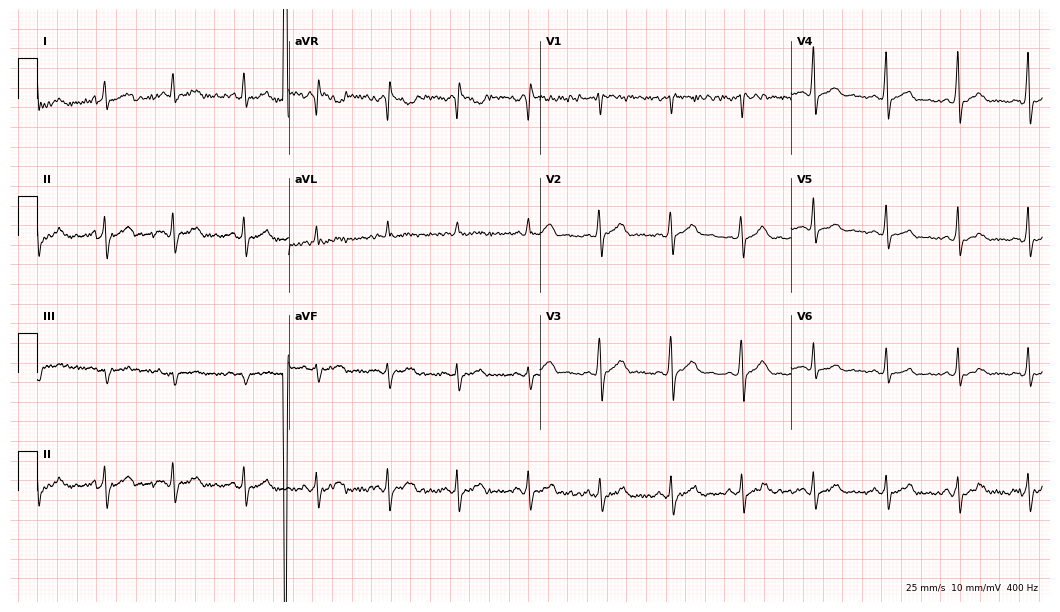
ECG — a male, 27 years old. Screened for six findings — first-degree AV block, right bundle branch block (RBBB), left bundle branch block (LBBB), sinus bradycardia, atrial fibrillation (AF), sinus tachycardia — none is recorded. Other findings, if any, are not listed.